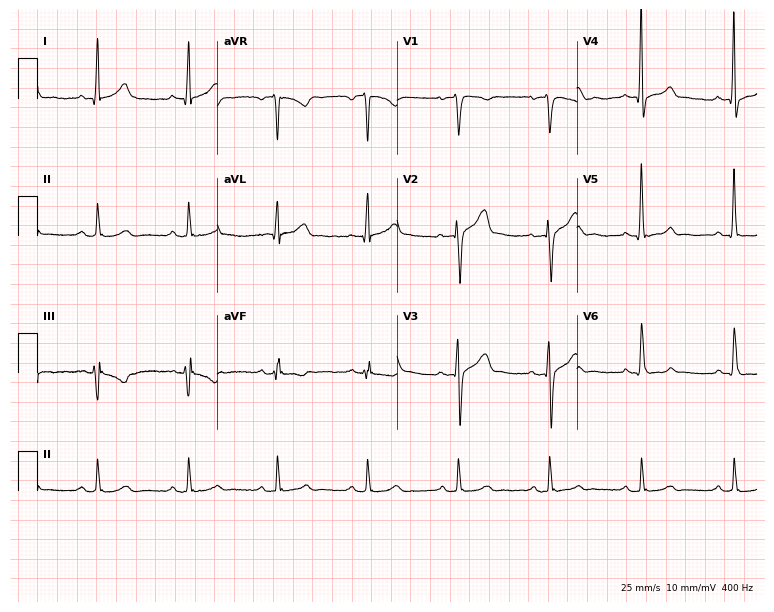
Electrocardiogram, a female, 47 years old. Overall reading on record: normal ECG.